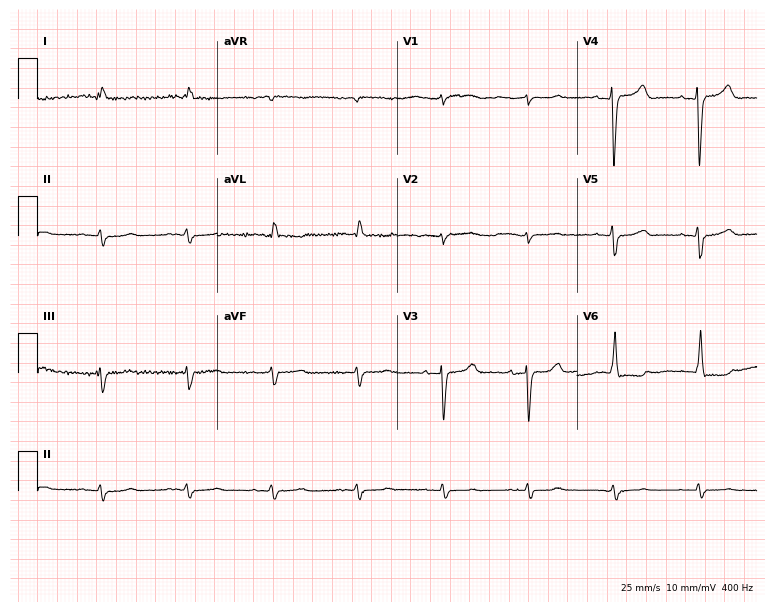
12-lead ECG (7.3-second recording at 400 Hz) from a female patient, 85 years old. Screened for six findings — first-degree AV block, right bundle branch block, left bundle branch block, sinus bradycardia, atrial fibrillation, sinus tachycardia — none is recorded. Other findings, if any, are not listed.